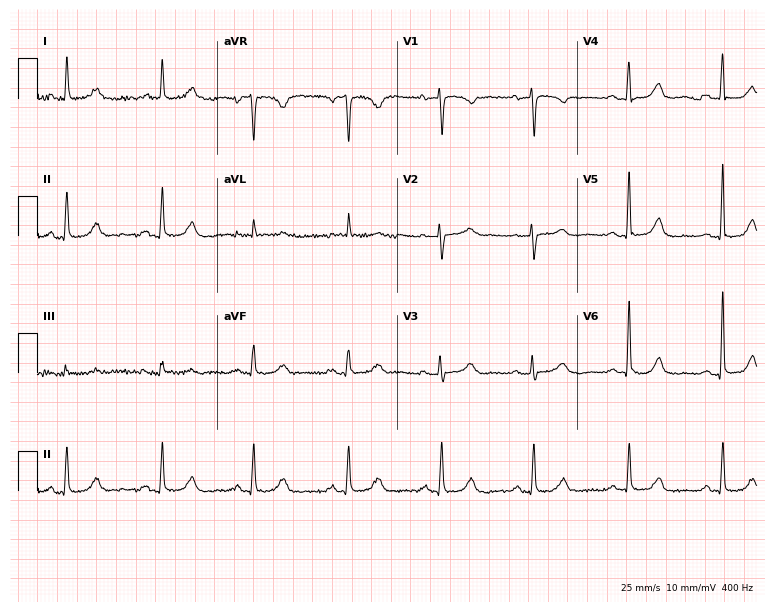
ECG (7.3-second recording at 400 Hz) — a 78-year-old female patient. Labelled as a normal ECG.